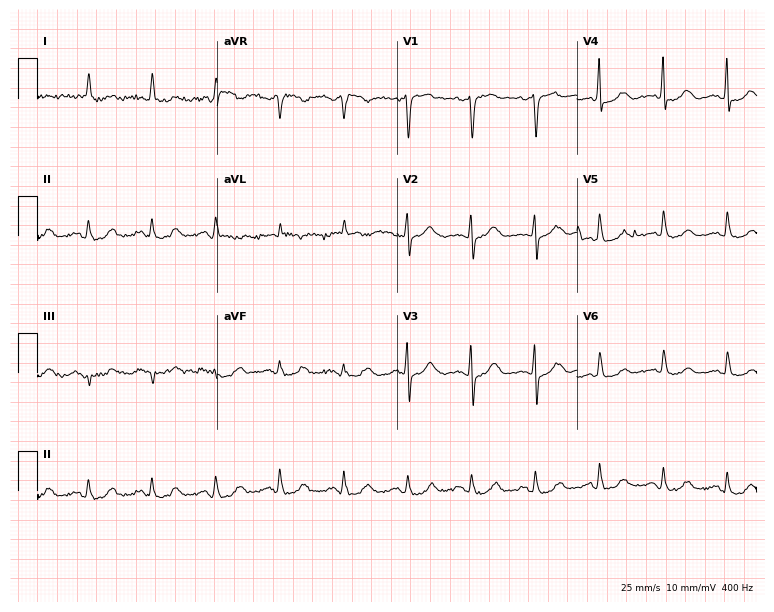
12-lead ECG from a woman, 83 years old (7.3-second recording at 400 Hz). No first-degree AV block, right bundle branch block, left bundle branch block, sinus bradycardia, atrial fibrillation or sinus tachycardia recorded for this tracing. Findings outside these six are not listed.